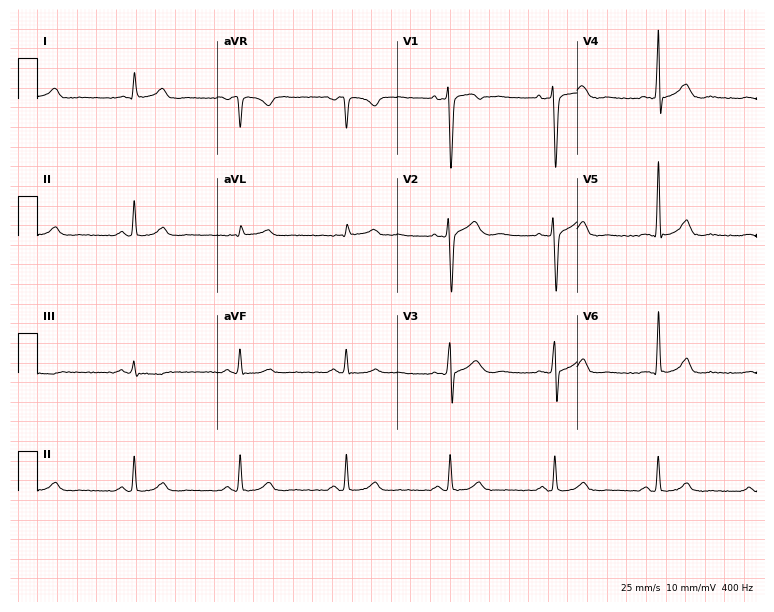
12-lead ECG from a 37-year-old man (7.3-second recording at 400 Hz). No first-degree AV block, right bundle branch block, left bundle branch block, sinus bradycardia, atrial fibrillation or sinus tachycardia recorded for this tracing. Other findings, if any, are not listed.